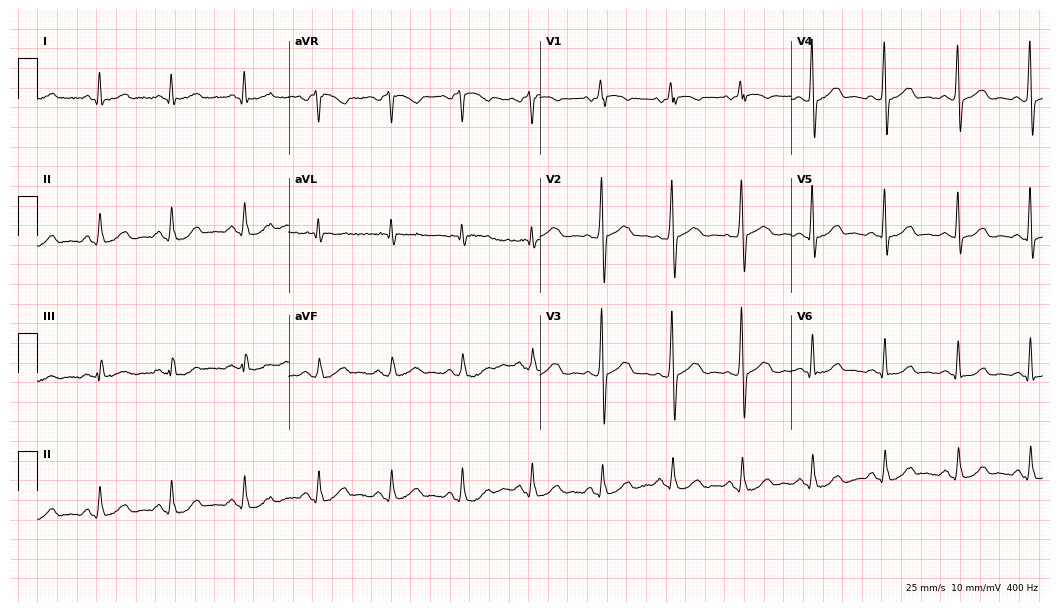
ECG (10.2-second recording at 400 Hz) — a 58-year-old female patient. Labelled as a normal ECG.